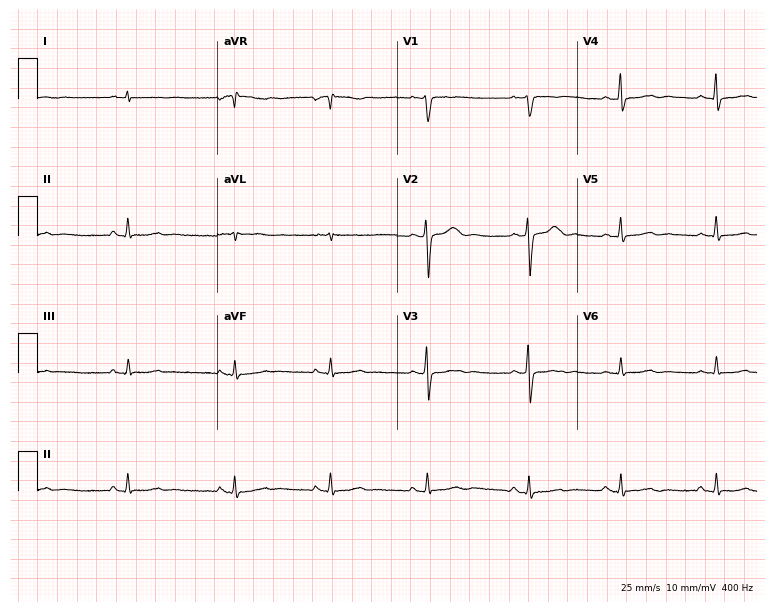
ECG — a female, 35 years old. Labelled as a normal ECG.